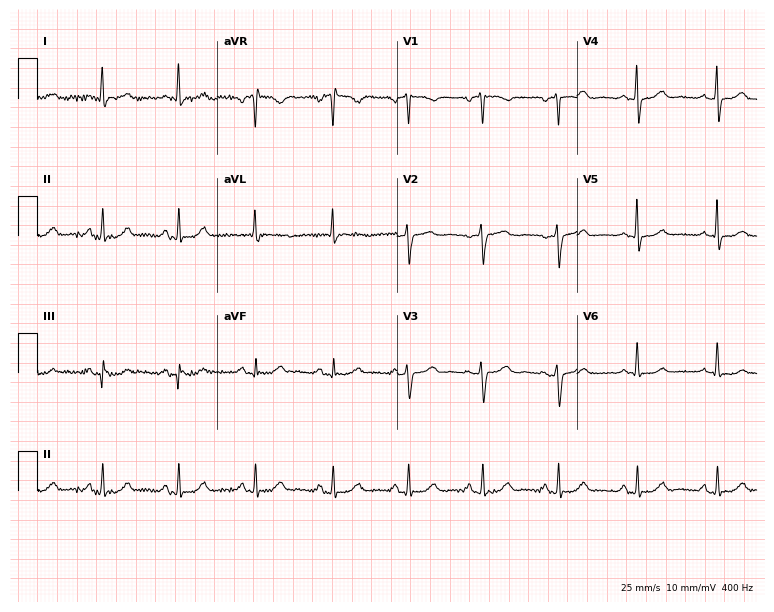
Standard 12-lead ECG recorded from a woman, 51 years old. Read as a normal ECG.